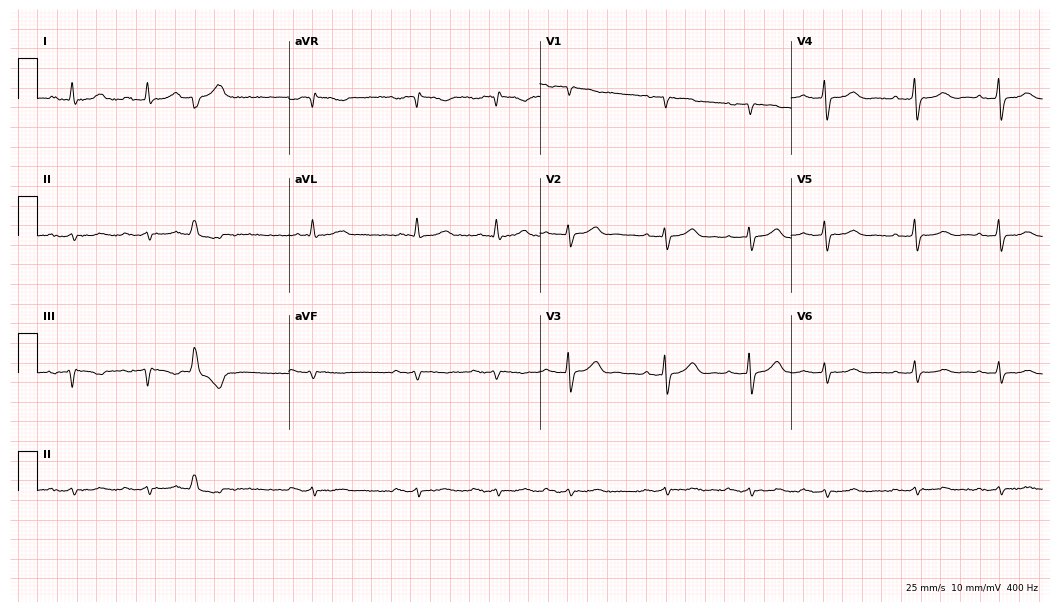
ECG (10.2-second recording at 400 Hz) — a female, 79 years old. Findings include first-degree AV block.